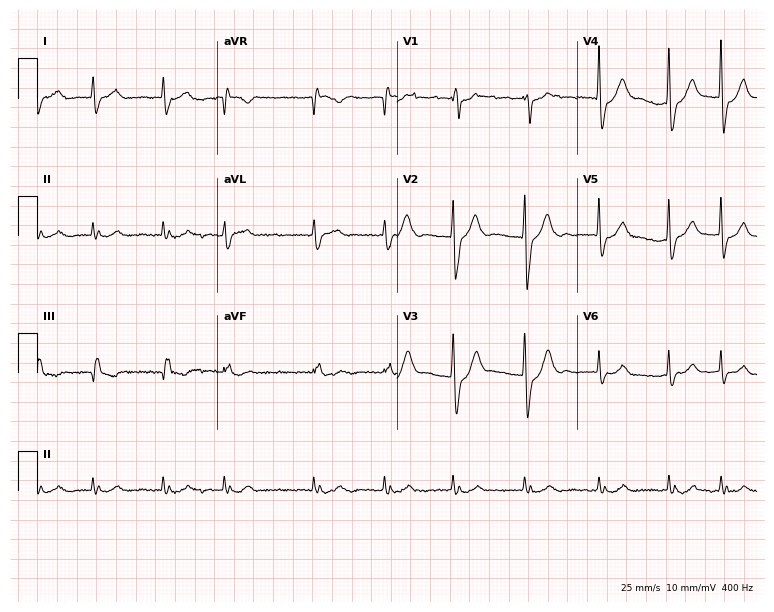
12-lead ECG from a man, 85 years old (7.3-second recording at 400 Hz). Shows atrial fibrillation.